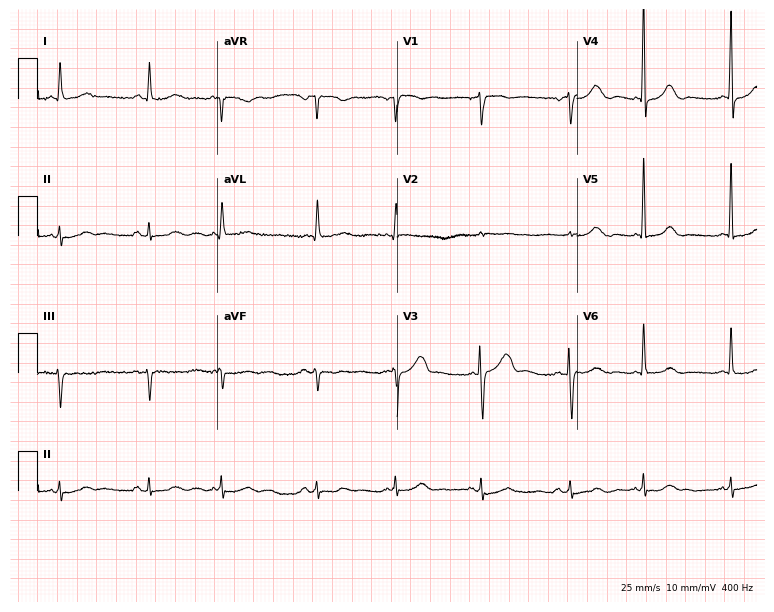
ECG — a 73-year-old female. Labelled as a normal ECG.